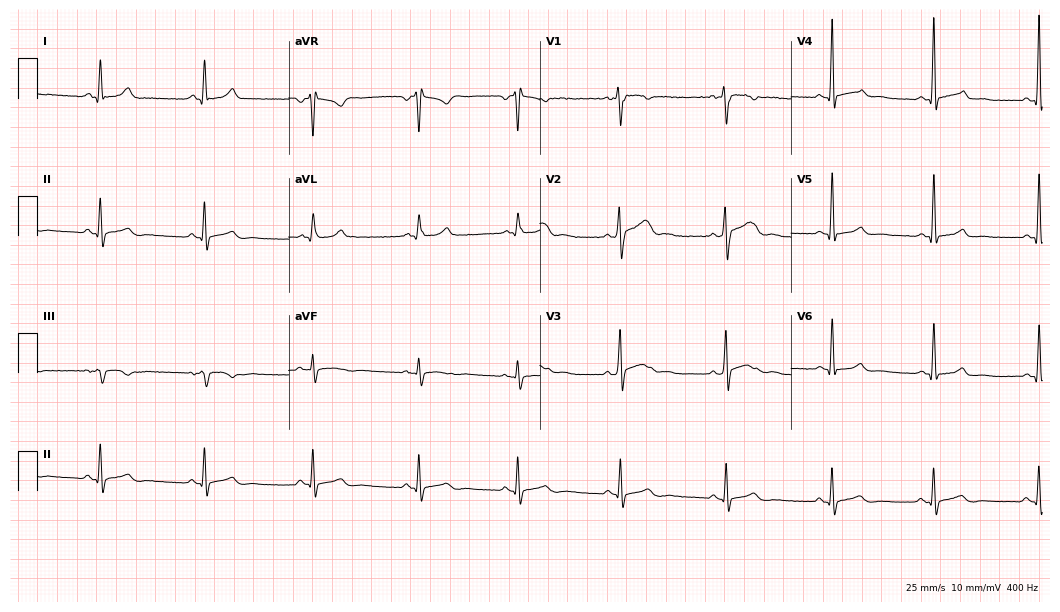
12-lead ECG (10.2-second recording at 400 Hz) from a male, 37 years old. Labelled as a normal ECG.